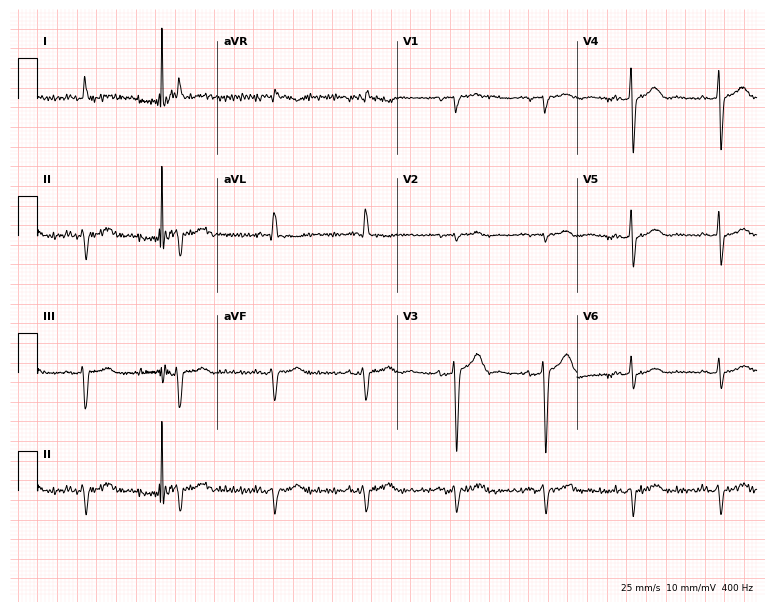
Standard 12-lead ECG recorded from a 78-year-old man. None of these six findings is recorded: first-degree AV block, right bundle branch block, left bundle branch block, sinus bradycardia, atrial fibrillation, sinus tachycardia.